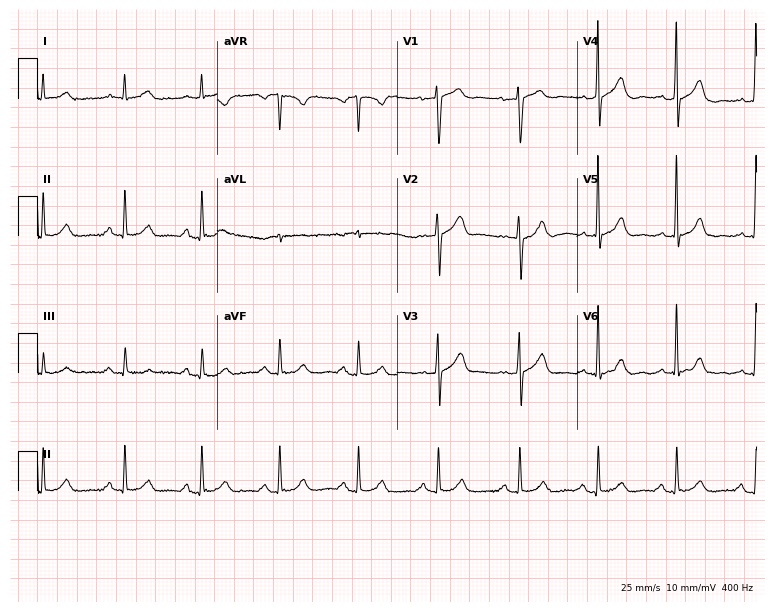
Standard 12-lead ECG recorded from a male patient, 60 years old (7.3-second recording at 400 Hz). None of these six findings is recorded: first-degree AV block, right bundle branch block (RBBB), left bundle branch block (LBBB), sinus bradycardia, atrial fibrillation (AF), sinus tachycardia. Only these six findings were labelled.